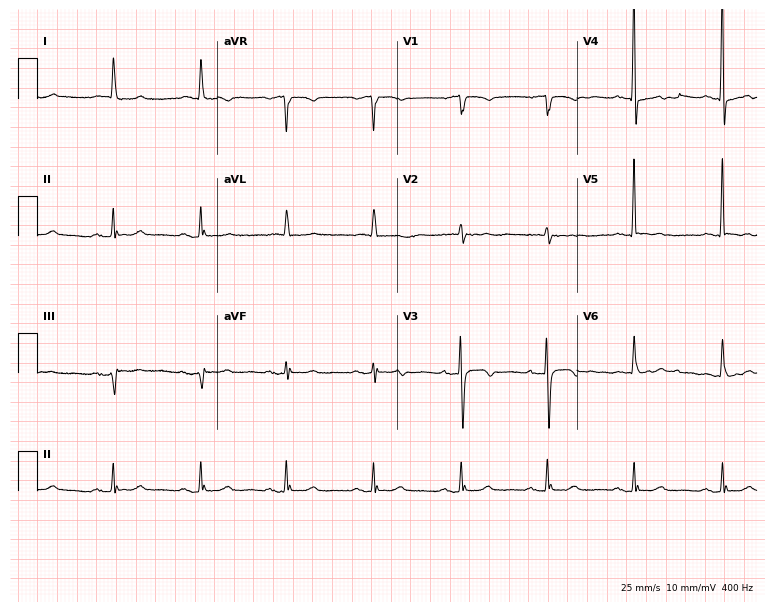
12-lead ECG from a female, 82 years old (7.3-second recording at 400 Hz). No first-degree AV block, right bundle branch block, left bundle branch block, sinus bradycardia, atrial fibrillation or sinus tachycardia recorded for this tracing.